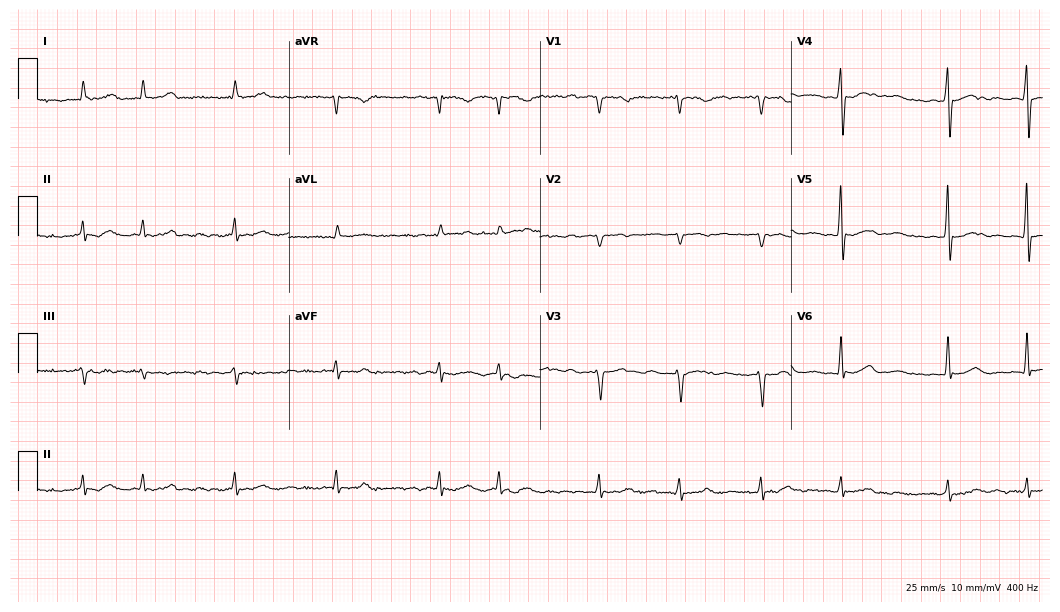
Electrocardiogram (10.2-second recording at 400 Hz), a female, 79 years old. Interpretation includes atrial fibrillation.